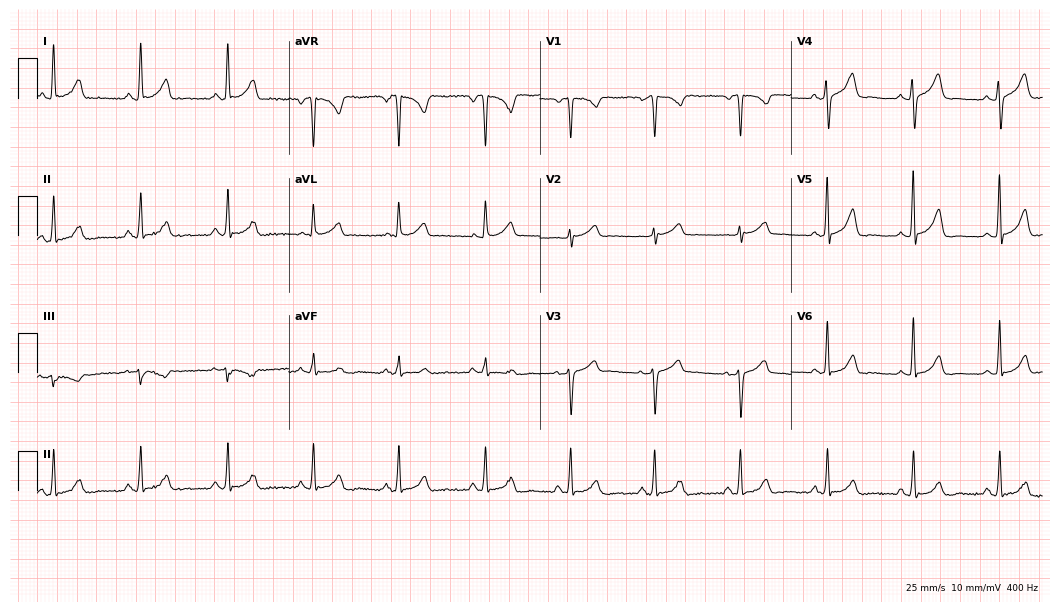
Resting 12-lead electrocardiogram (10.2-second recording at 400 Hz). Patient: a female, 54 years old. None of these six findings is recorded: first-degree AV block, right bundle branch block, left bundle branch block, sinus bradycardia, atrial fibrillation, sinus tachycardia.